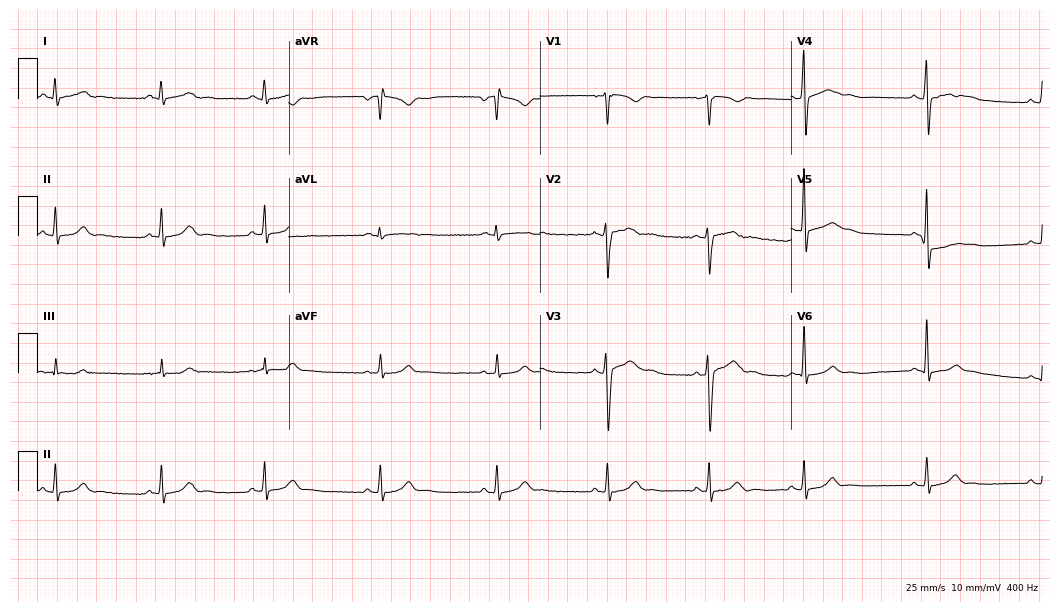
12-lead ECG from a male, 31 years old. Screened for six findings — first-degree AV block, right bundle branch block, left bundle branch block, sinus bradycardia, atrial fibrillation, sinus tachycardia — none is recorded.